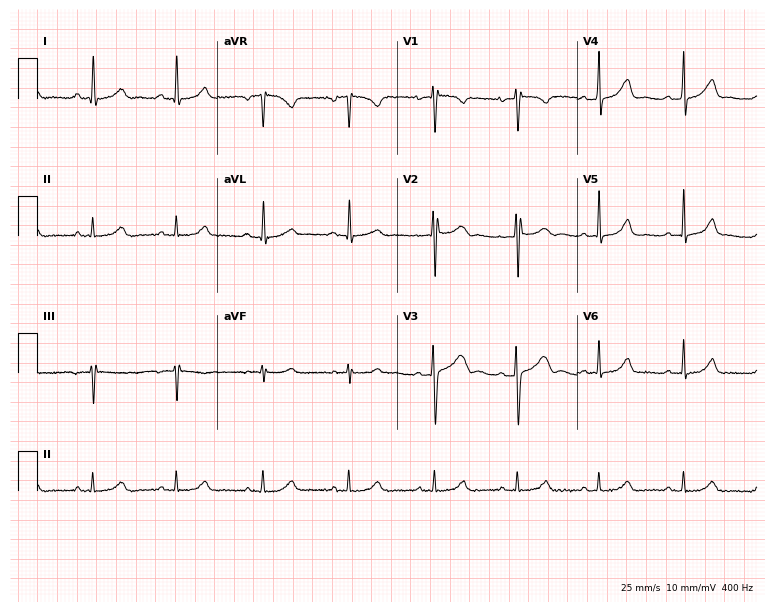
12-lead ECG (7.3-second recording at 400 Hz) from a 22-year-old female patient. Labelled as a normal ECG.